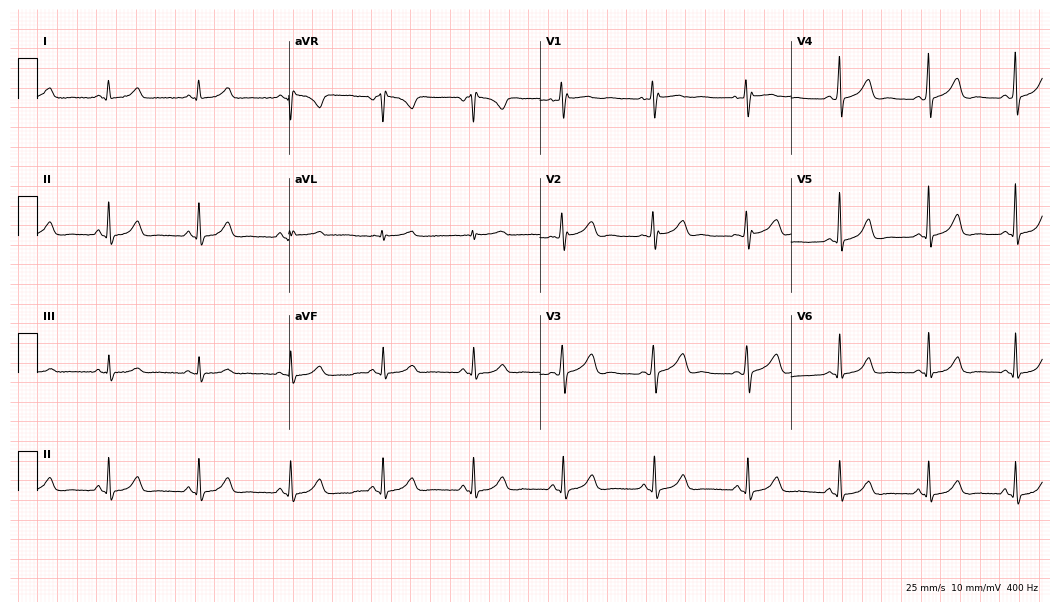
Electrocardiogram, a 43-year-old female. Overall reading on record: normal ECG.